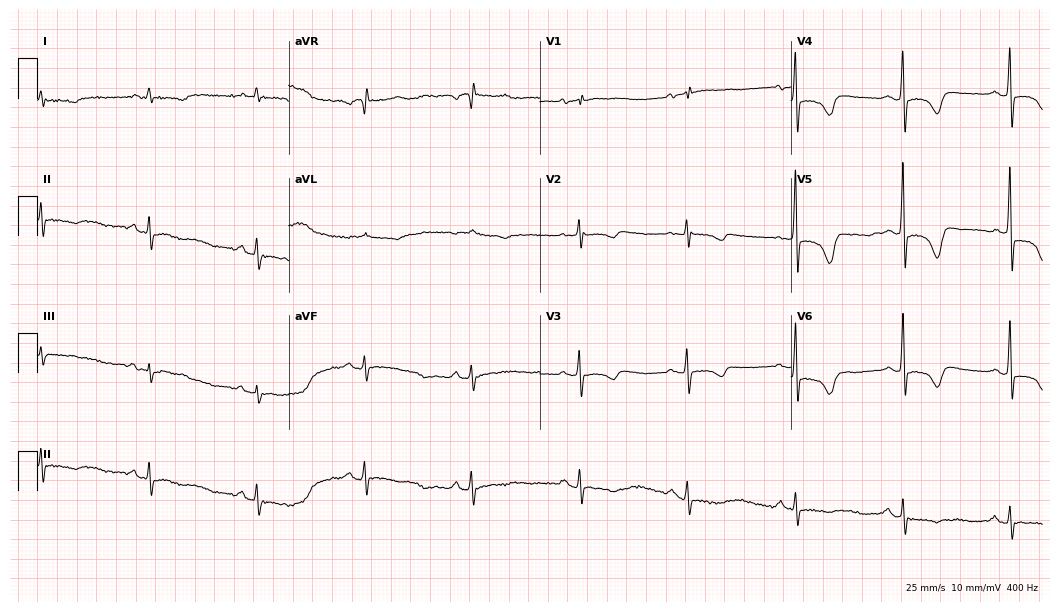
ECG — a 78-year-old female patient. Screened for six findings — first-degree AV block, right bundle branch block (RBBB), left bundle branch block (LBBB), sinus bradycardia, atrial fibrillation (AF), sinus tachycardia — none is recorded. Other findings, if any, are not listed.